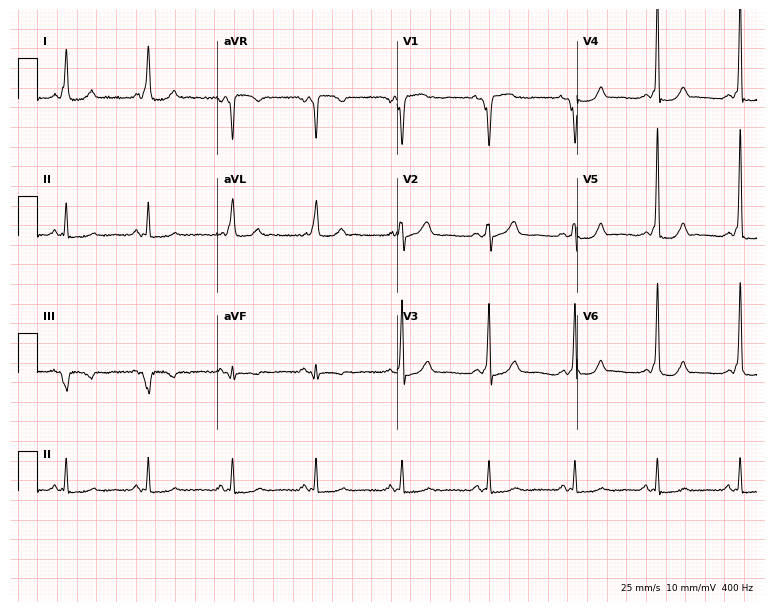
12-lead ECG from a woman, 48 years old. No first-degree AV block, right bundle branch block, left bundle branch block, sinus bradycardia, atrial fibrillation or sinus tachycardia recorded for this tracing. Other findings, if any, are not listed.